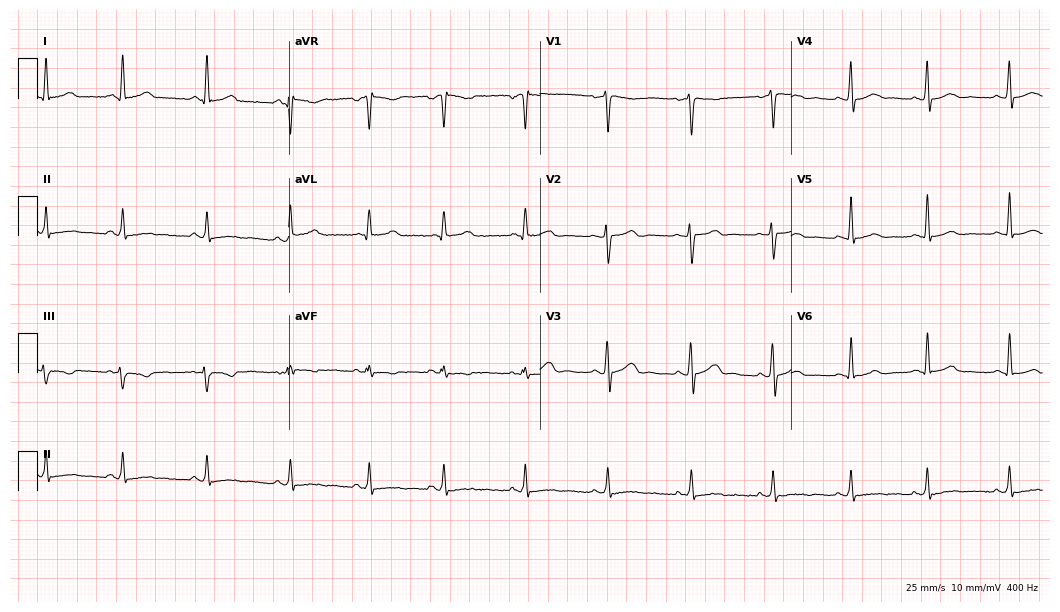
12-lead ECG from a female, 24 years old. Screened for six findings — first-degree AV block, right bundle branch block, left bundle branch block, sinus bradycardia, atrial fibrillation, sinus tachycardia — none is recorded.